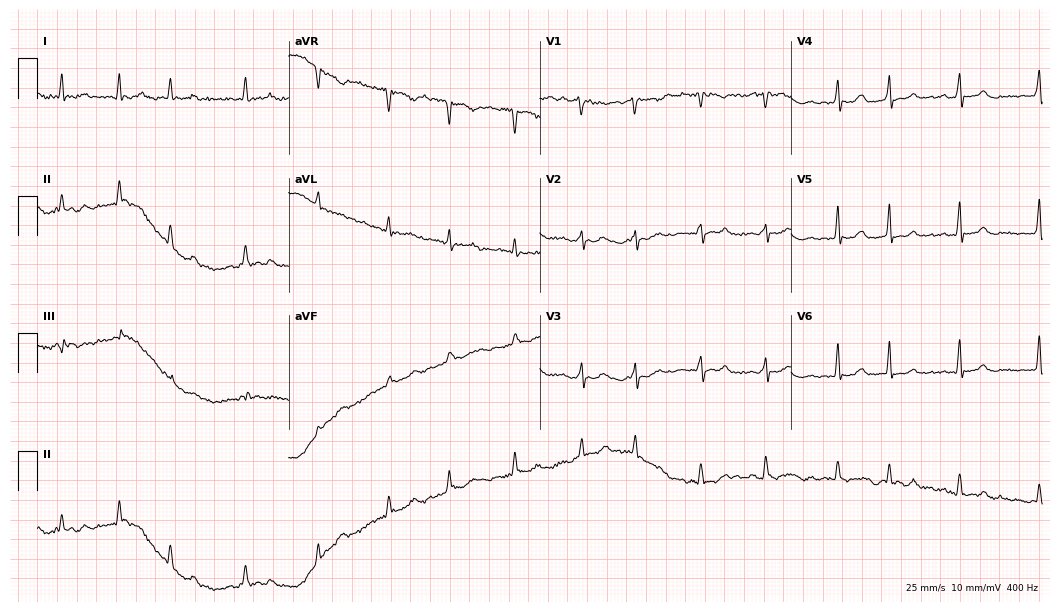
ECG (10.2-second recording at 400 Hz) — a woman, 74 years old. Screened for six findings — first-degree AV block, right bundle branch block, left bundle branch block, sinus bradycardia, atrial fibrillation, sinus tachycardia — none is recorded.